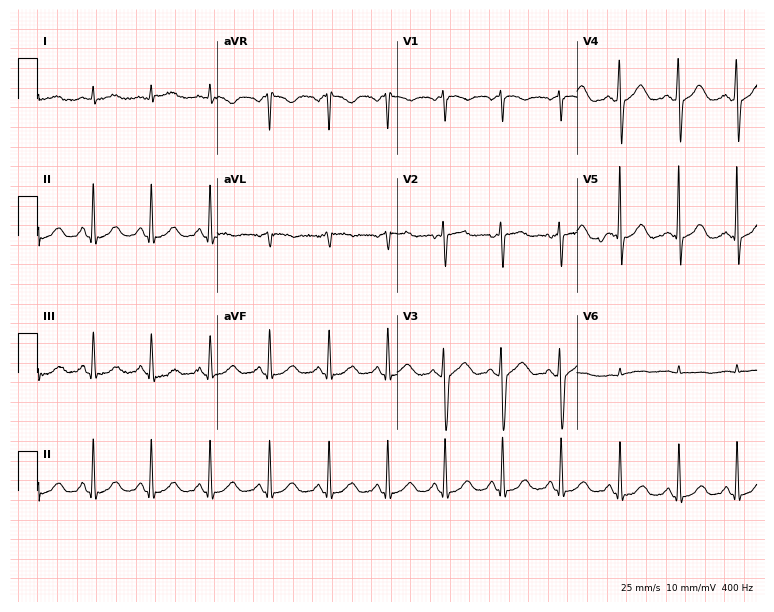
12-lead ECG from a male, 72 years old (7.3-second recording at 400 Hz). Recorded interpretation: within normal limits.